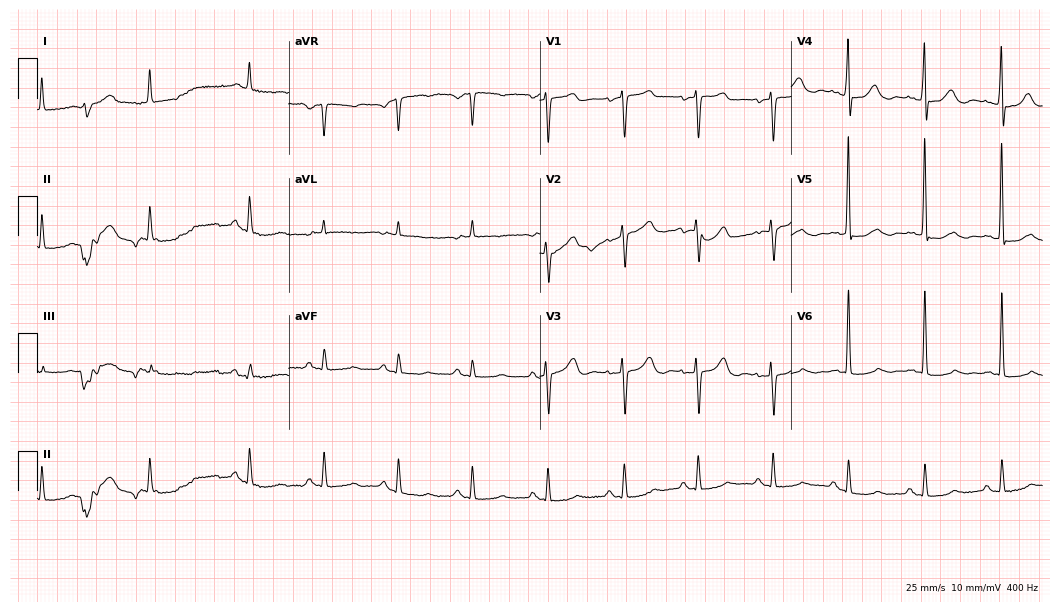
Standard 12-lead ECG recorded from a 78-year-old female patient (10.2-second recording at 400 Hz). None of these six findings is recorded: first-degree AV block, right bundle branch block, left bundle branch block, sinus bradycardia, atrial fibrillation, sinus tachycardia.